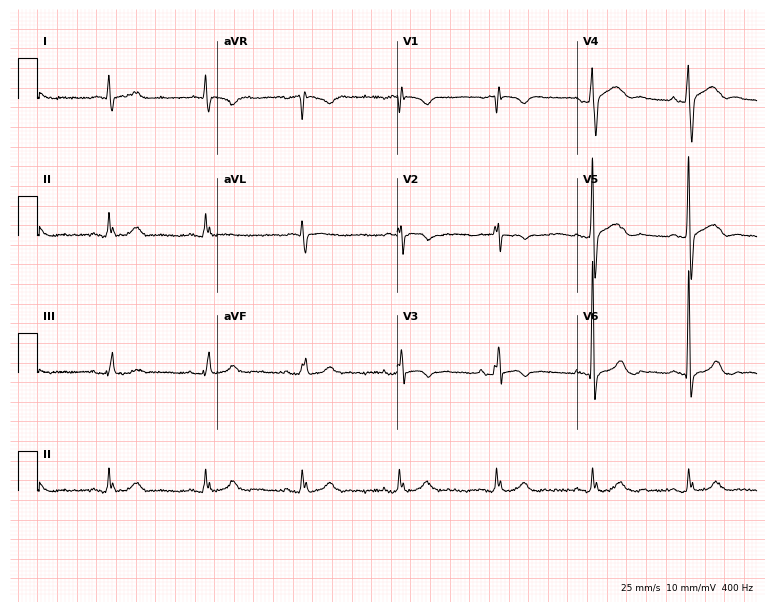
12-lead ECG from a male patient, 79 years old. No first-degree AV block, right bundle branch block, left bundle branch block, sinus bradycardia, atrial fibrillation or sinus tachycardia recorded for this tracing.